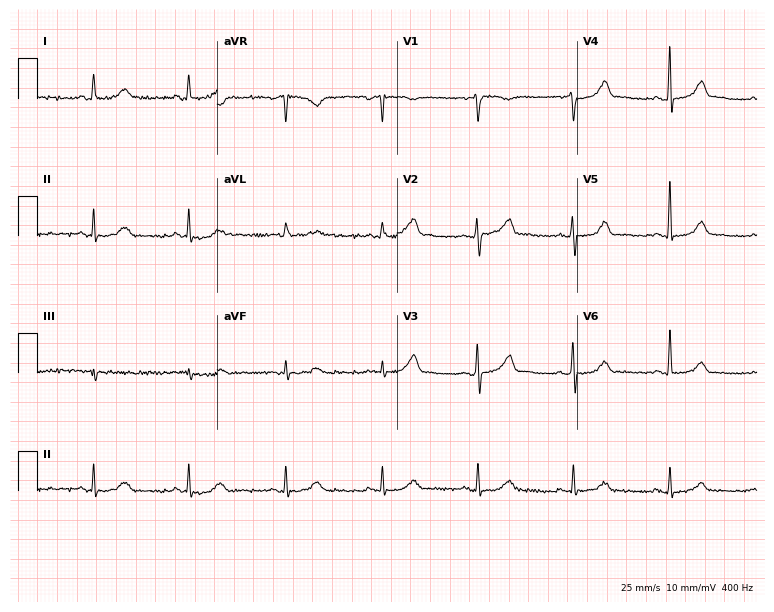
ECG (7.3-second recording at 400 Hz) — a 69-year-old male. Labelled as a normal ECG.